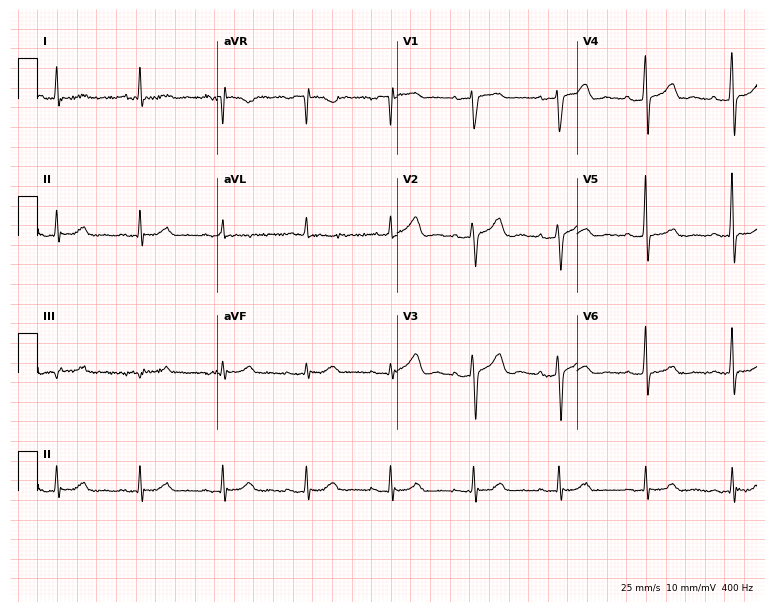
Electrocardiogram (7.3-second recording at 400 Hz), a male, 77 years old. Of the six screened findings (first-degree AV block, right bundle branch block (RBBB), left bundle branch block (LBBB), sinus bradycardia, atrial fibrillation (AF), sinus tachycardia), none is recorded.